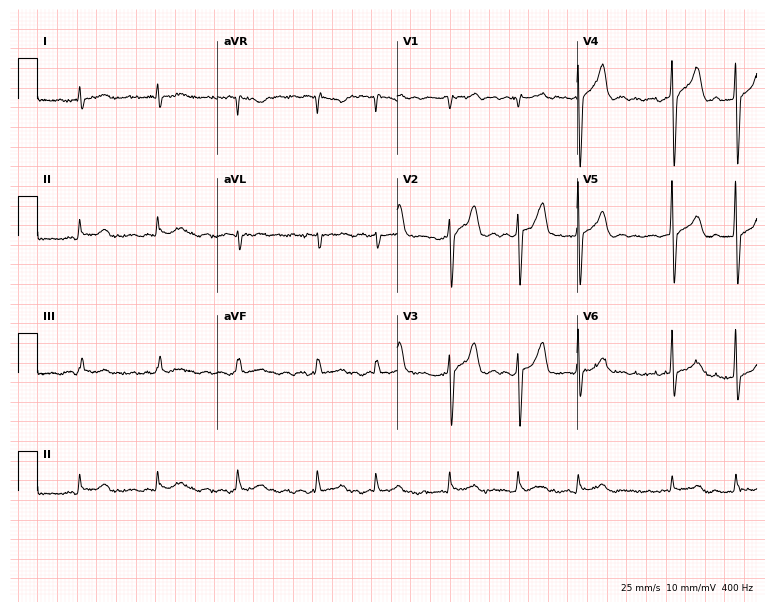
Resting 12-lead electrocardiogram. Patient: a 62-year-old man. The tracing shows atrial fibrillation.